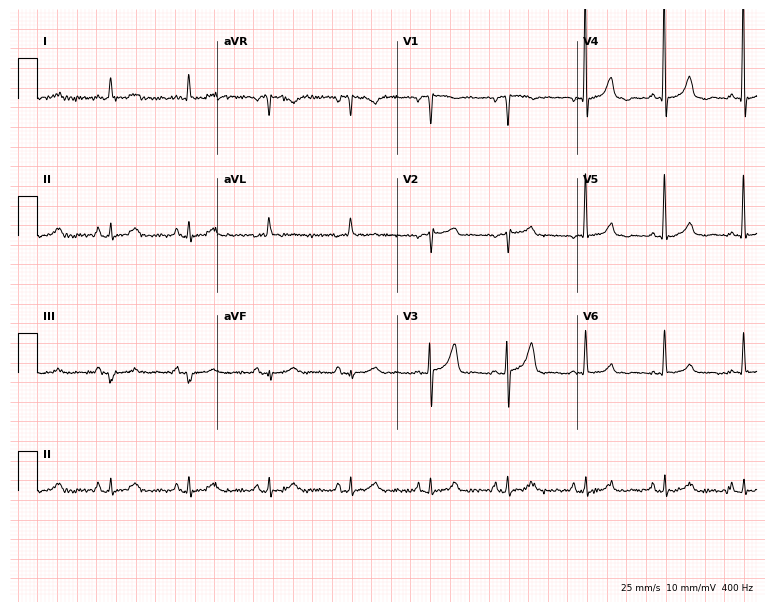
12-lead ECG (7.3-second recording at 400 Hz) from a 59-year-old woman. Screened for six findings — first-degree AV block, right bundle branch block, left bundle branch block, sinus bradycardia, atrial fibrillation, sinus tachycardia — none is recorded. Other findings, if any, are not listed.